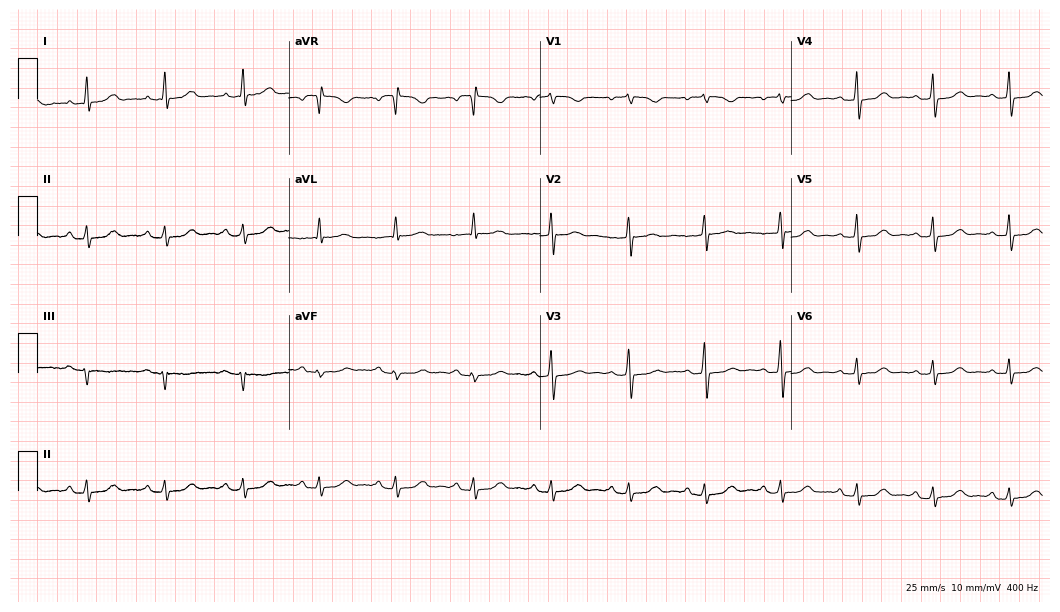
12-lead ECG from a 64-year-old female patient (10.2-second recording at 400 Hz). Recorded interpretation: within normal limits.